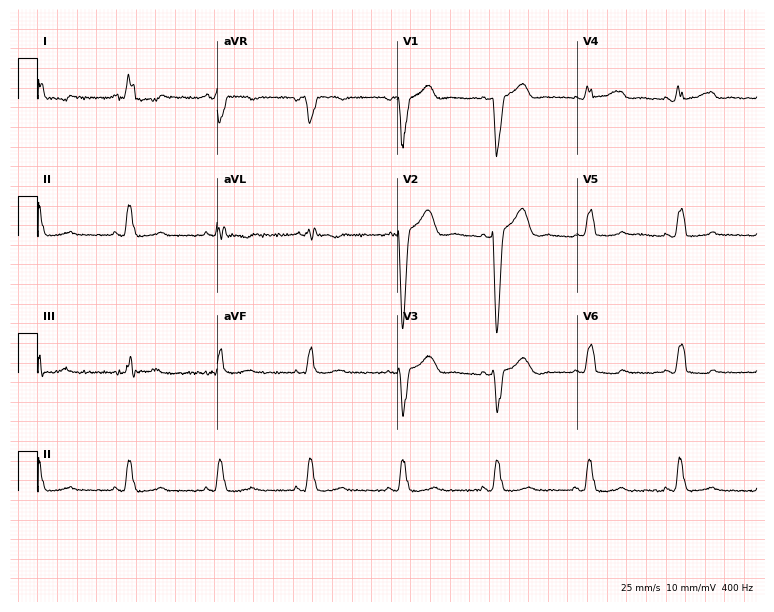
Electrocardiogram, a 42-year-old female patient. Of the six screened findings (first-degree AV block, right bundle branch block (RBBB), left bundle branch block (LBBB), sinus bradycardia, atrial fibrillation (AF), sinus tachycardia), none is recorded.